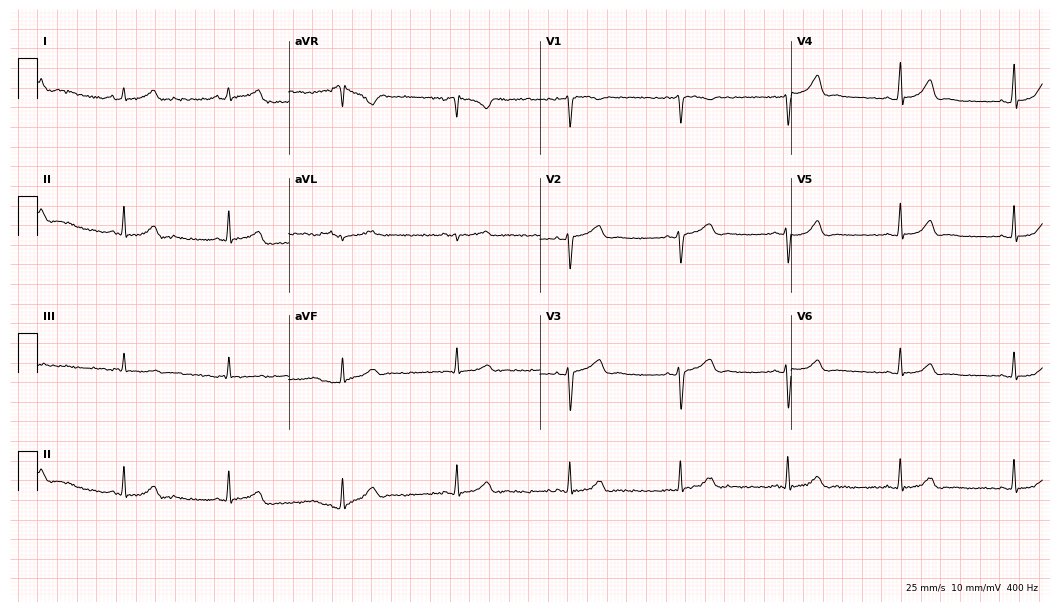
12-lead ECG from a female, 27 years old (10.2-second recording at 400 Hz). No first-degree AV block, right bundle branch block (RBBB), left bundle branch block (LBBB), sinus bradycardia, atrial fibrillation (AF) or sinus tachycardia recorded for this tracing. Other findings, if any, are not listed.